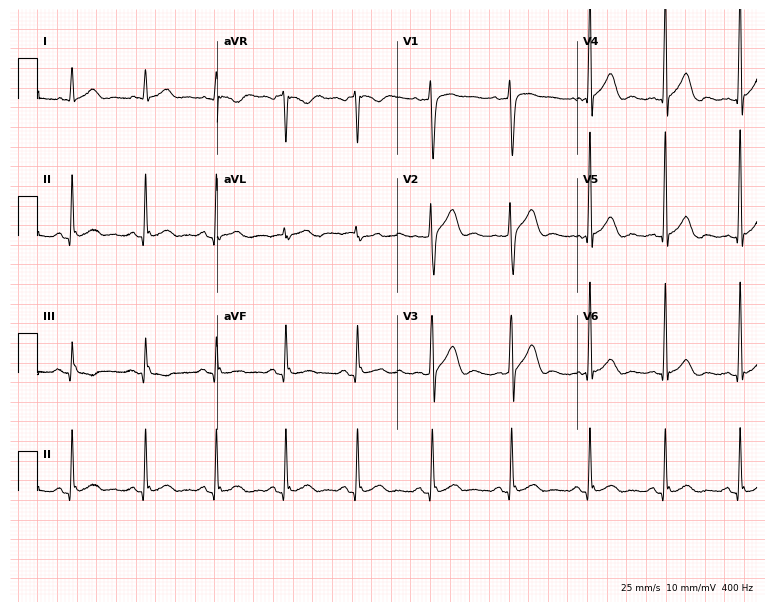
Electrocardiogram (7.3-second recording at 400 Hz), a 35-year-old male patient. Overall reading on record: normal ECG.